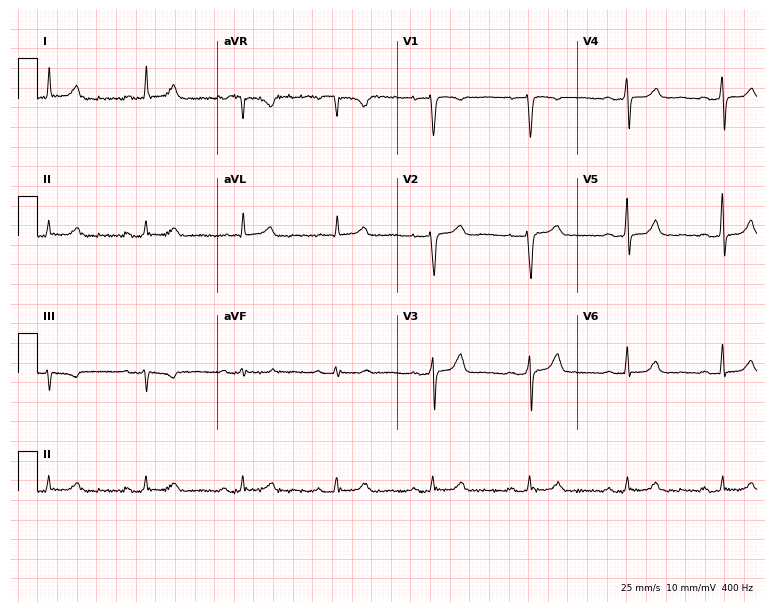
12-lead ECG from a 67-year-old female. Labelled as a normal ECG.